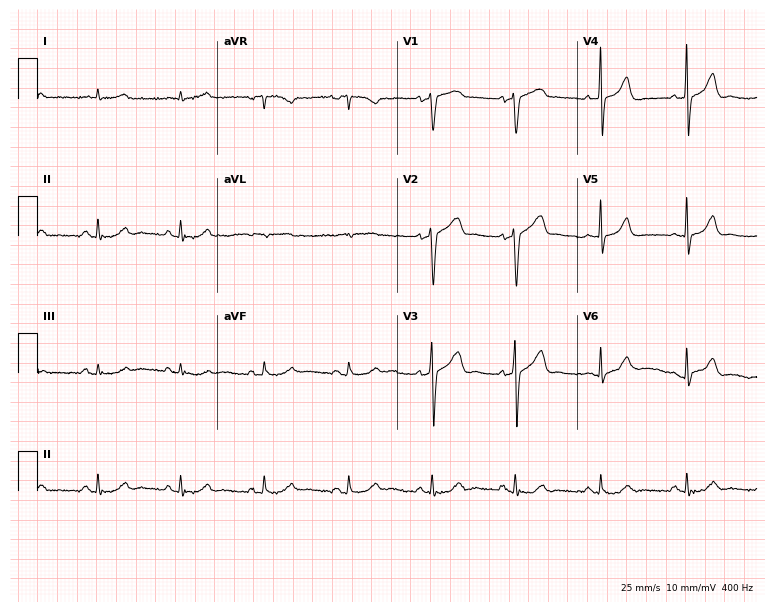
ECG — a male, 70 years old. Labelled as a normal ECG.